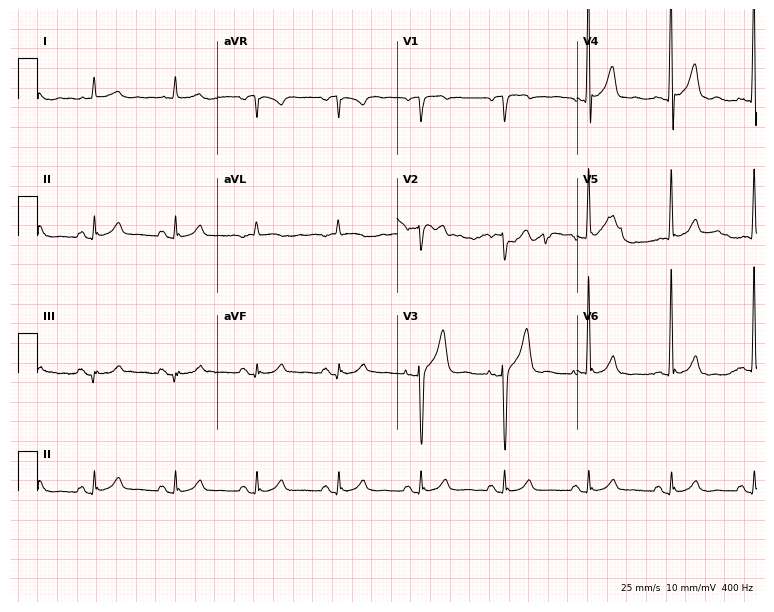
Resting 12-lead electrocardiogram (7.3-second recording at 400 Hz). Patient: a male, 68 years old. None of these six findings is recorded: first-degree AV block, right bundle branch block, left bundle branch block, sinus bradycardia, atrial fibrillation, sinus tachycardia. Findings outside these six are not listed.